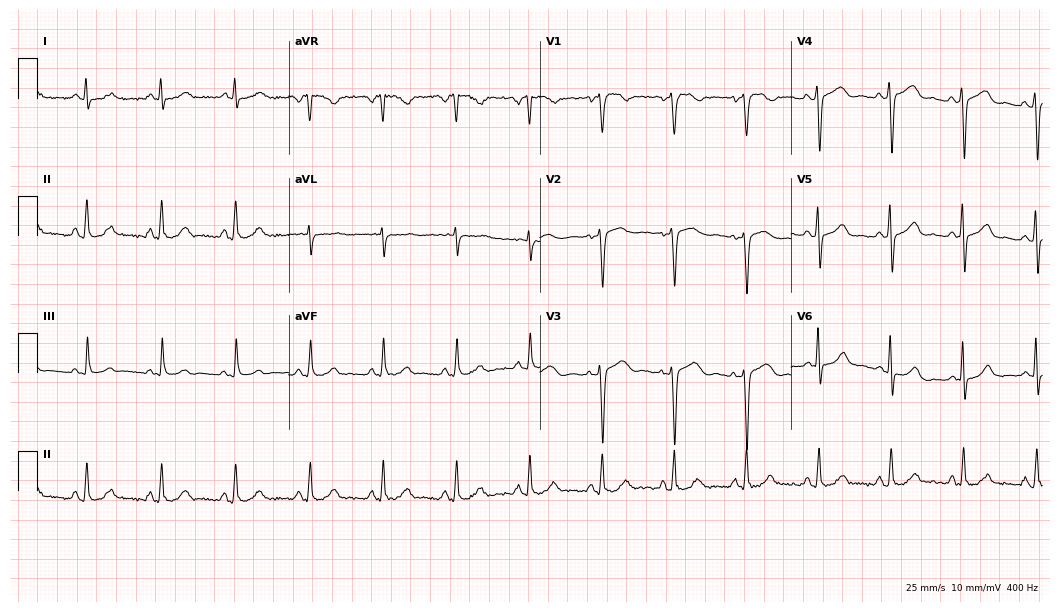
Standard 12-lead ECG recorded from a 40-year-old woman. Read as a normal ECG.